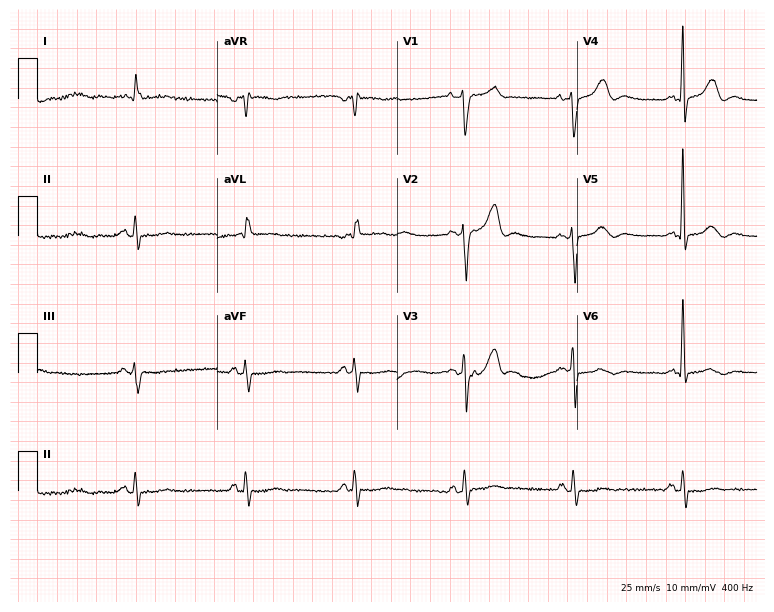
Electrocardiogram, a male, 85 years old. Of the six screened findings (first-degree AV block, right bundle branch block, left bundle branch block, sinus bradycardia, atrial fibrillation, sinus tachycardia), none is recorded.